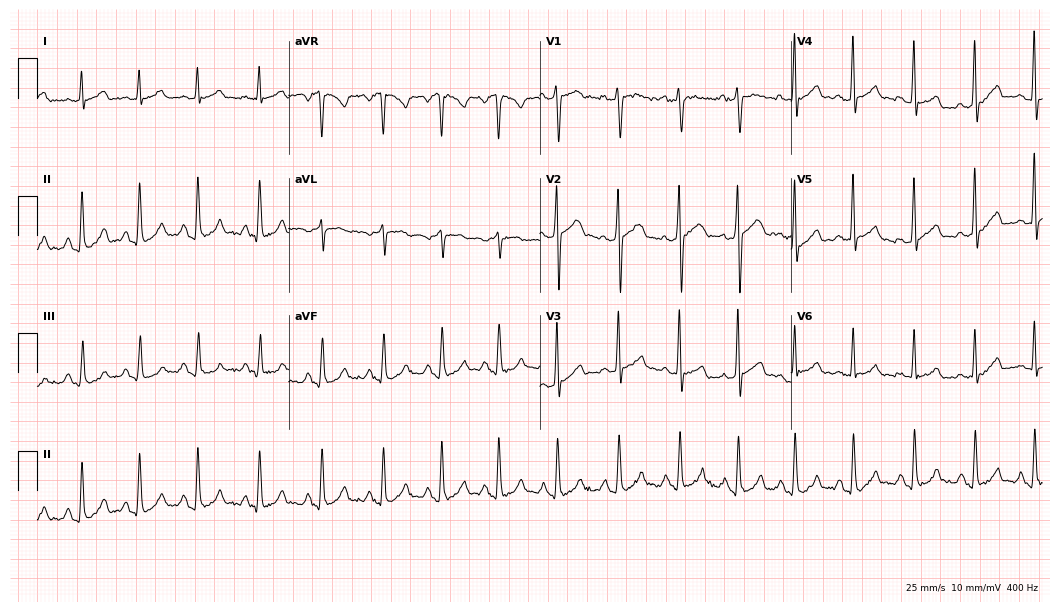
Resting 12-lead electrocardiogram. Patient: a 36-year-old male. None of these six findings is recorded: first-degree AV block, right bundle branch block (RBBB), left bundle branch block (LBBB), sinus bradycardia, atrial fibrillation (AF), sinus tachycardia. Findings outside these six are not listed.